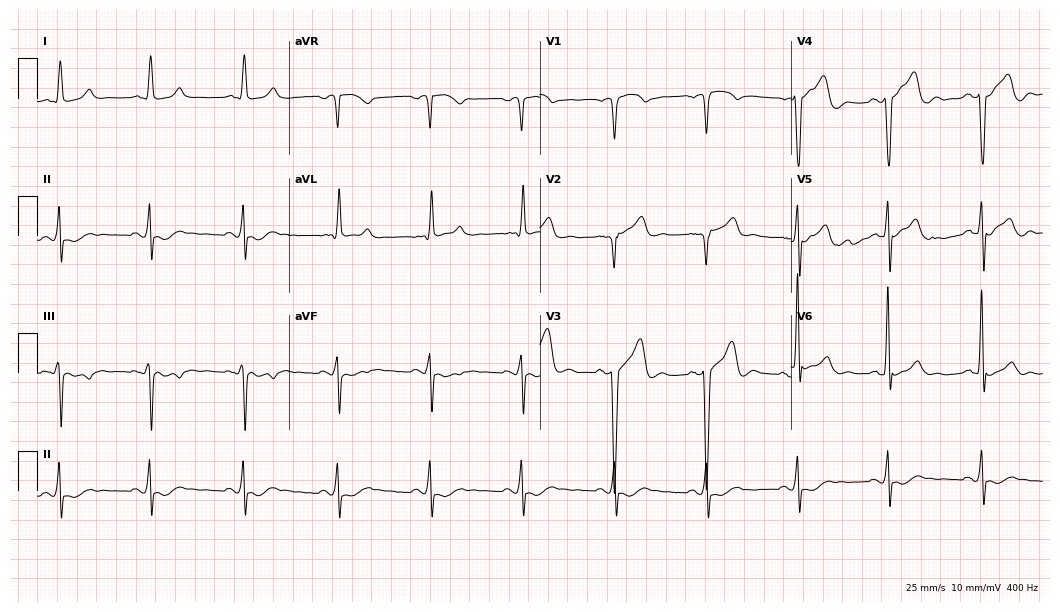
12-lead ECG (10.2-second recording at 400 Hz) from a 64-year-old man. Screened for six findings — first-degree AV block, right bundle branch block, left bundle branch block, sinus bradycardia, atrial fibrillation, sinus tachycardia — none is recorded. Other findings, if any, are not listed.